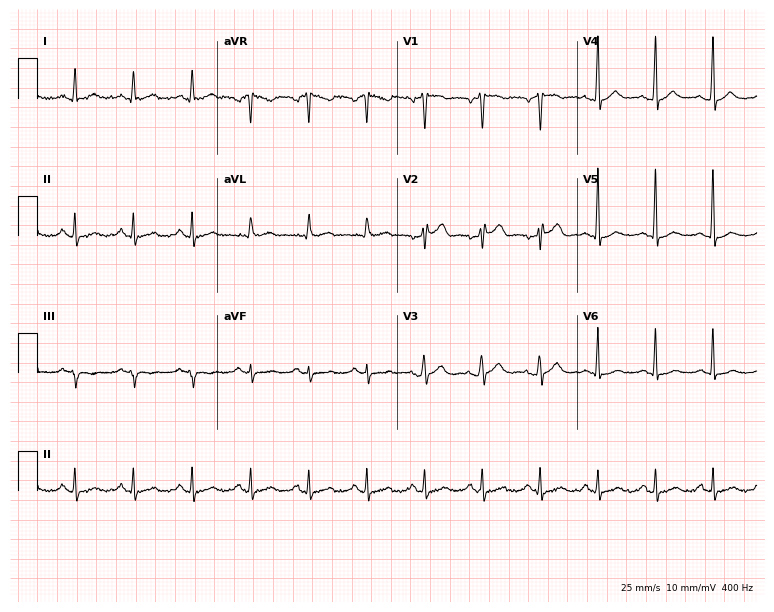
ECG (7.3-second recording at 400 Hz) — a male, 56 years old. Findings include sinus tachycardia (a sinus rate of 100 beats per minute or more).